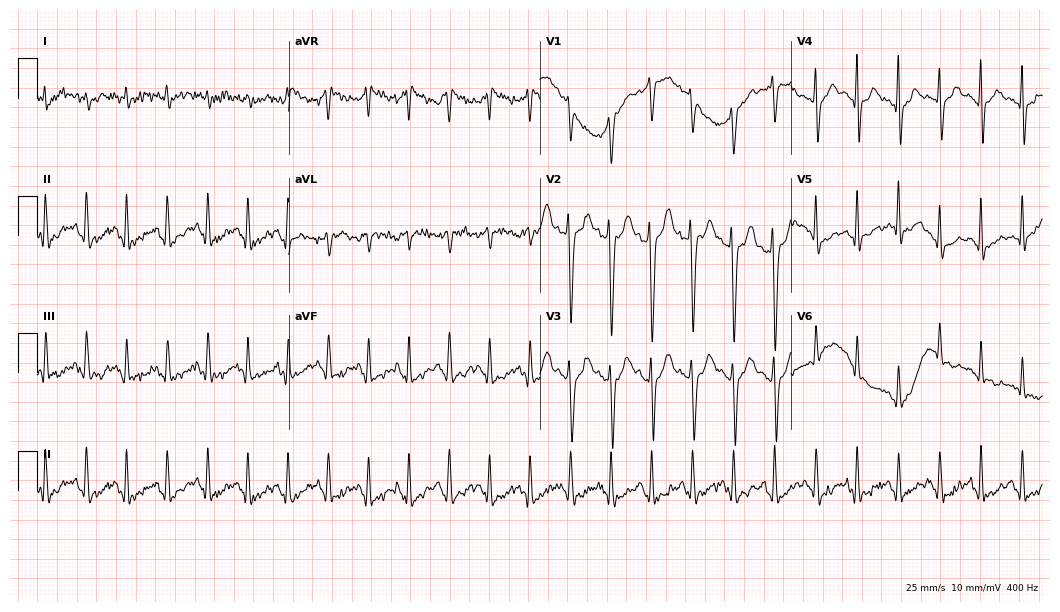
ECG — an 18-year-old female patient. Findings include sinus tachycardia (a sinus rate of 100 beats per minute or more).